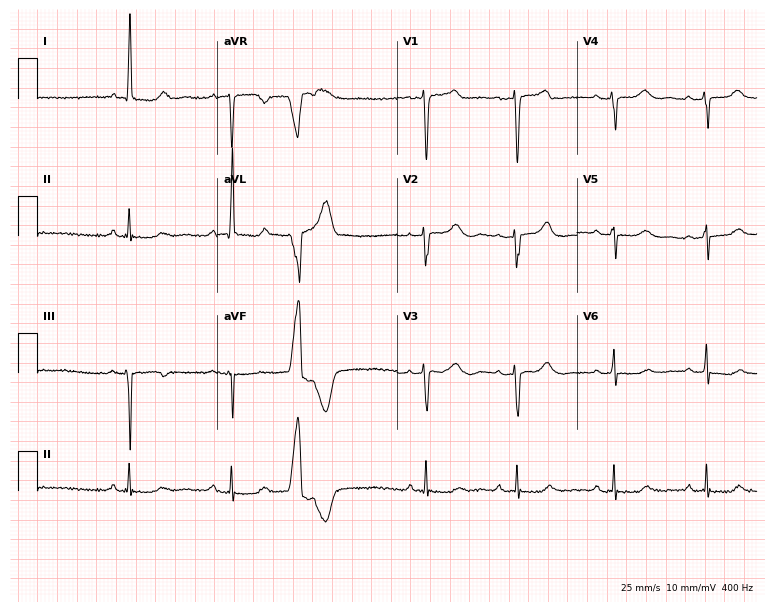
Standard 12-lead ECG recorded from a 64-year-old female (7.3-second recording at 400 Hz). The tracing shows first-degree AV block.